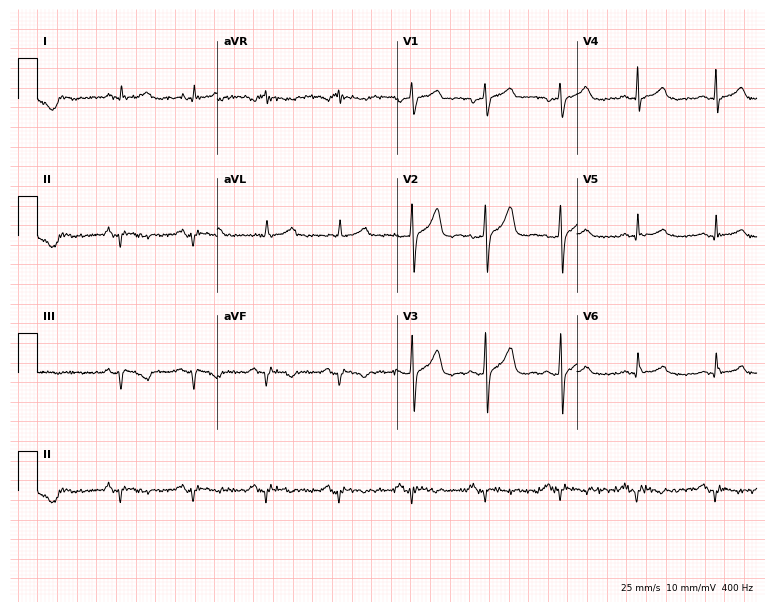
Resting 12-lead electrocardiogram (7.3-second recording at 400 Hz). Patient: a 61-year-old man. None of these six findings is recorded: first-degree AV block, right bundle branch block, left bundle branch block, sinus bradycardia, atrial fibrillation, sinus tachycardia.